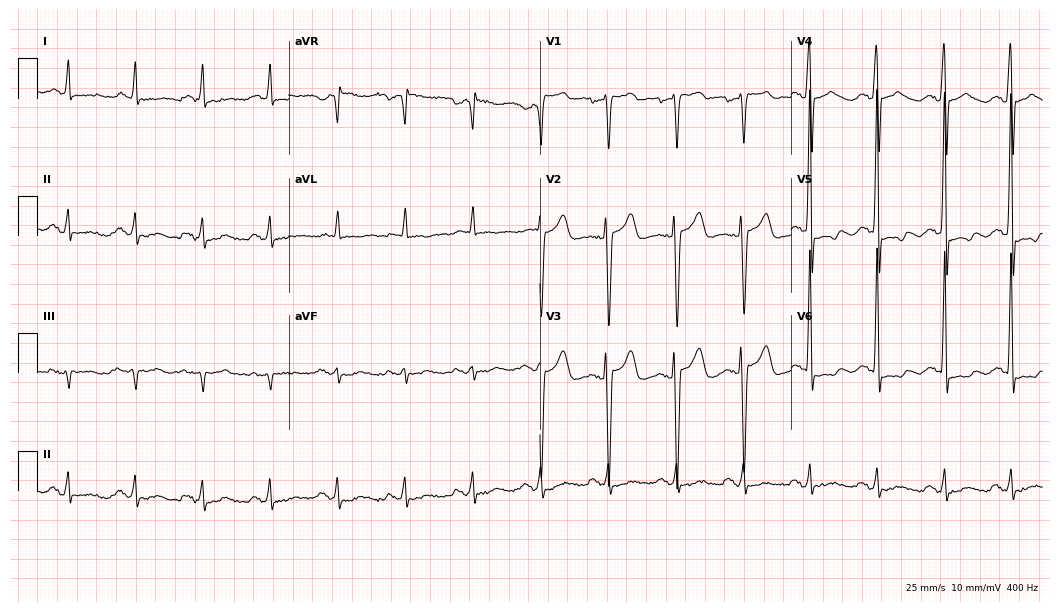
12-lead ECG from a 48-year-old male. No first-degree AV block, right bundle branch block (RBBB), left bundle branch block (LBBB), sinus bradycardia, atrial fibrillation (AF) or sinus tachycardia recorded for this tracing.